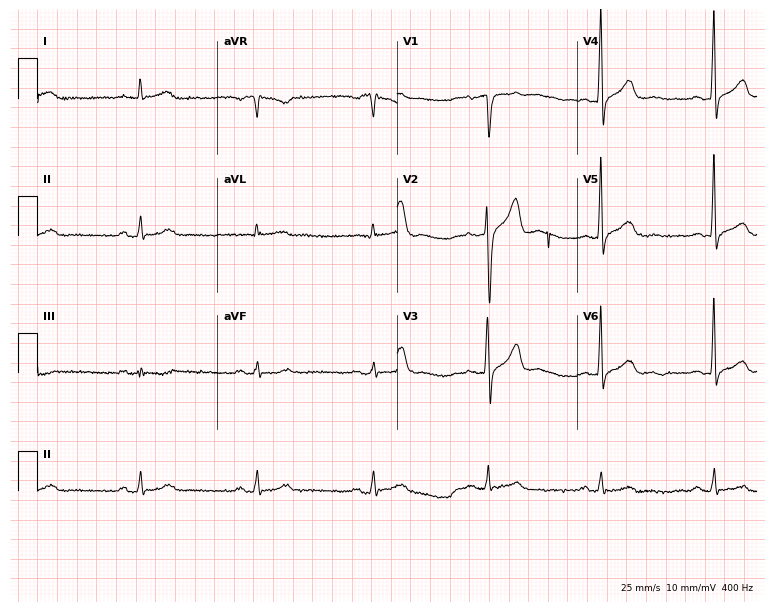
Electrocardiogram, a 72-year-old man. Of the six screened findings (first-degree AV block, right bundle branch block (RBBB), left bundle branch block (LBBB), sinus bradycardia, atrial fibrillation (AF), sinus tachycardia), none is recorded.